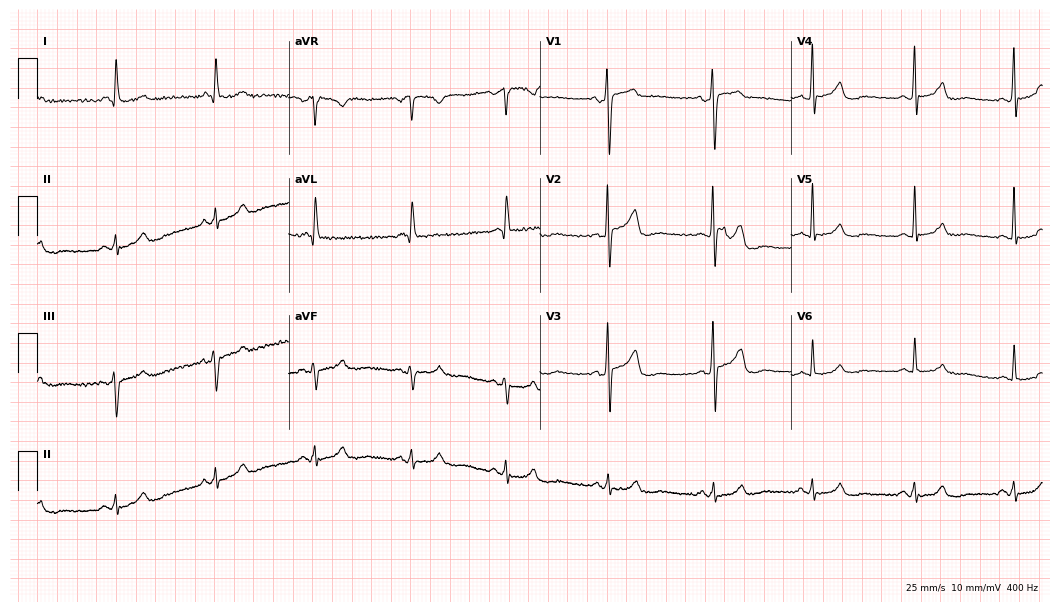
12-lead ECG (10.2-second recording at 400 Hz) from a male patient, 57 years old. Labelled as a normal ECG.